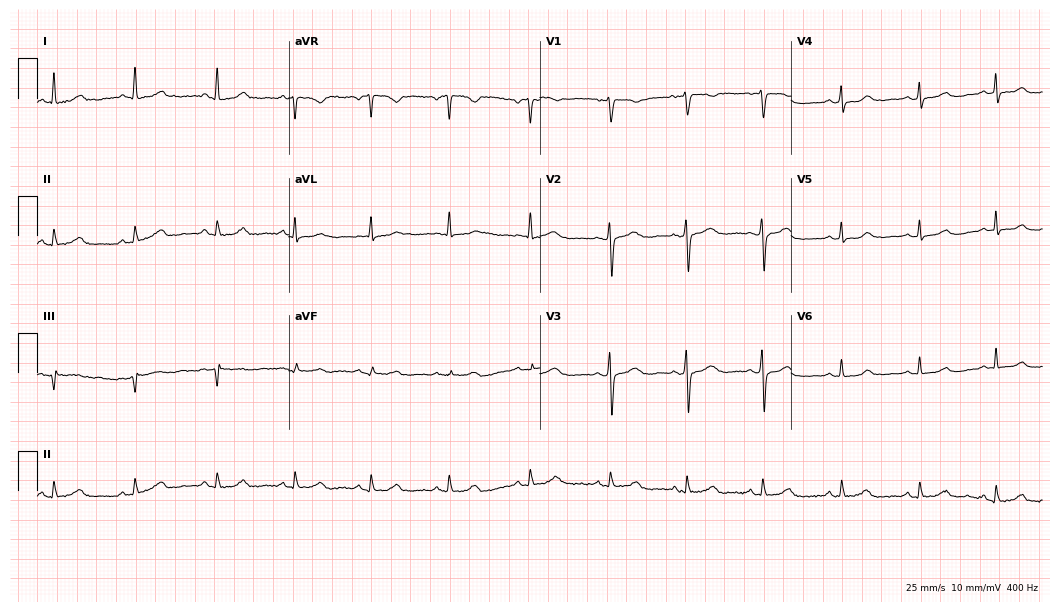
12-lead ECG from a 47-year-old female (10.2-second recording at 400 Hz). No first-degree AV block, right bundle branch block (RBBB), left bundle branch block (LBBB), sinus bradycardia, atrial fibrillation (AF) or sinus tachycardia recorded for this tracing.